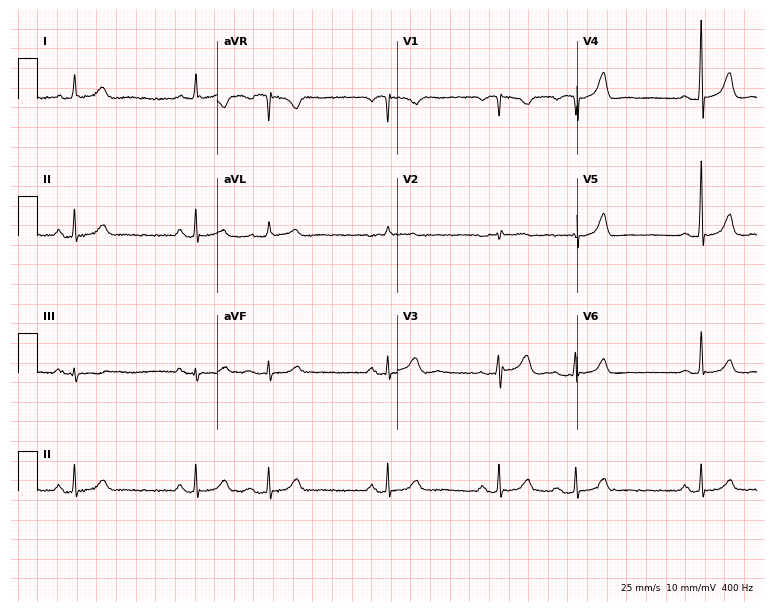
Standard 12-lead ECG recorded from a 61-year-old male patient (7.3-second recording at 400 Hz). The tracing shows sinus bradycardia (a sinus rate of 50 beats per minute or less).